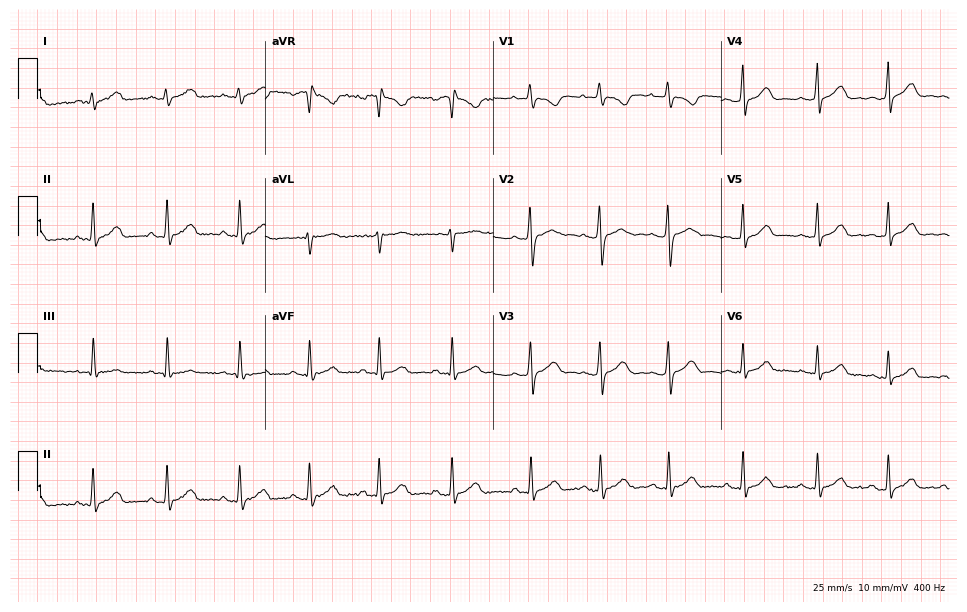
12-lead ECG from a 20-year-old female patient (9.3-second recording at 400 Hz). Recorded interpretation: within normal limits.